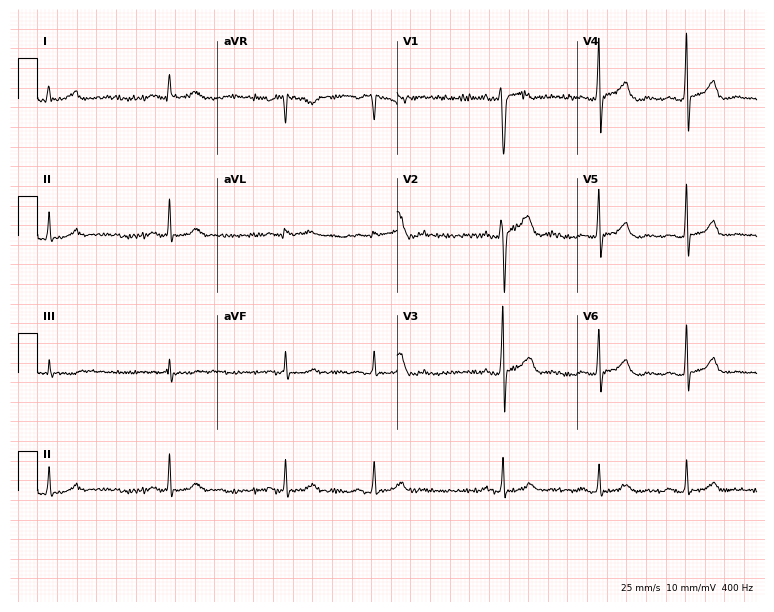
Electrocardiogram (7.3-second recording at 400 Hz), a 27-year-old male patient. Of the six screened findings (first-degree AV block, right bundle branch block (RBBB), left bundle branch block (LBBB), sinus bradycardia, atrial fibrillation (AF), sinus tachycardia), none is recorded. Only these six findings were labelled.